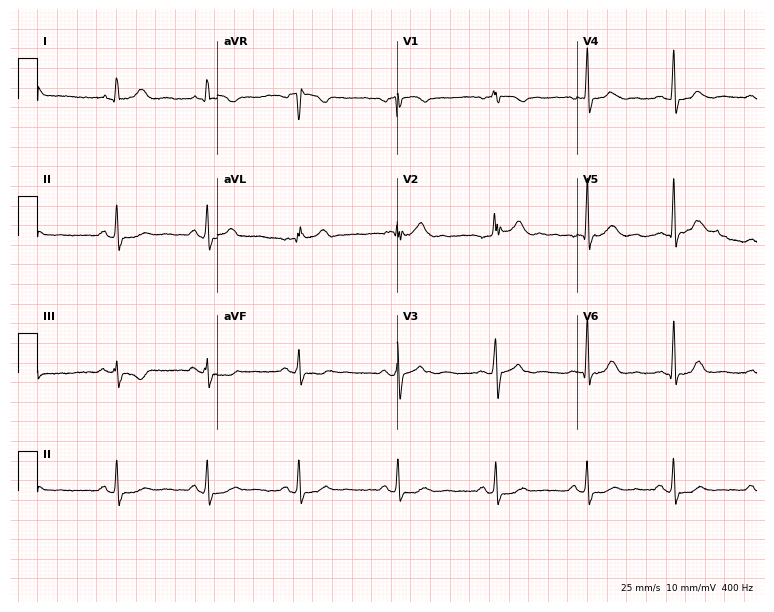
12-lead ECG from a female, 45 years old (7.3-second recording at 400 Hz). Recorded interpretation: within normal limits.